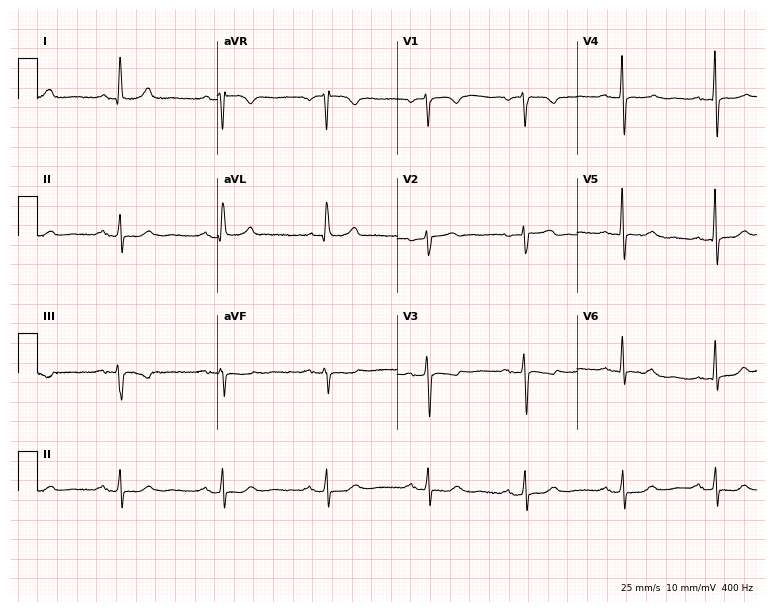
Electrocardiogram, a female patient, 83 years old. Overall reading on record: normal ECG.